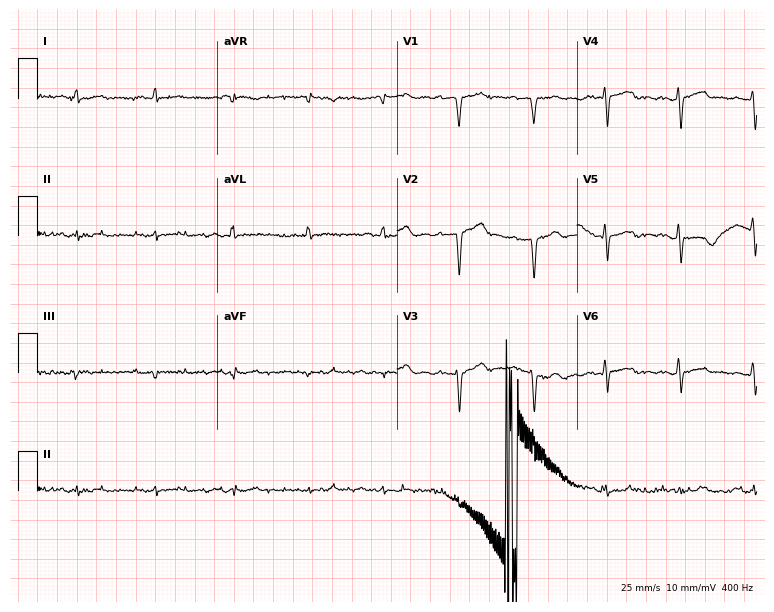
Standard 12-lead ECG recorded from a 62-year-old male patient (7.3-second recording at 400 Hz). None of these six findings is recorded: first-degree AV block, right bundle branch block, left bundle branch block, sinus bradycardia, atrial fibrillation, sinus tachycardia. Other findings, if any, are not listed.